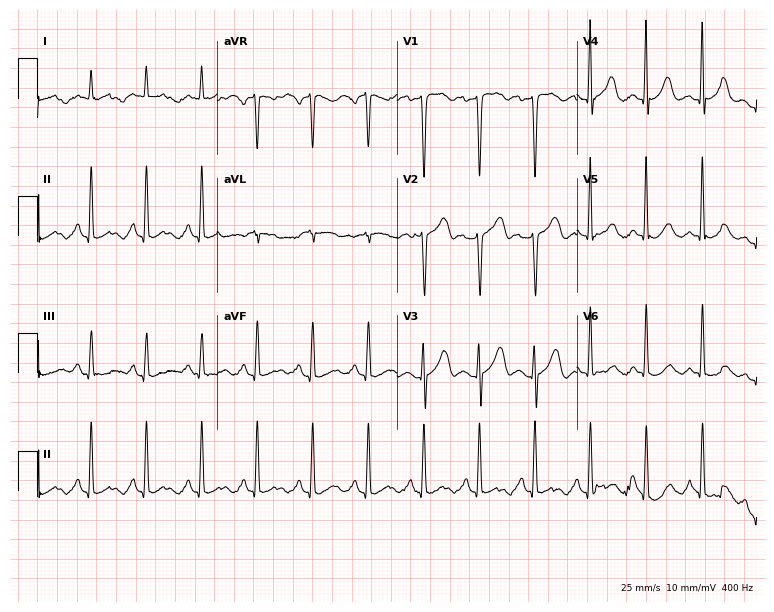
Standard 12-lead ECG recorded from a 59-year-old man (7.3-second recording at 400 Hz). None of these six findings is recorded: first-degree AV block, right bundle branch block (RBBB), left bundle branch block (LBBB), sinus bradycardia, atrial fibrillation (AF), sinus tachycardia.